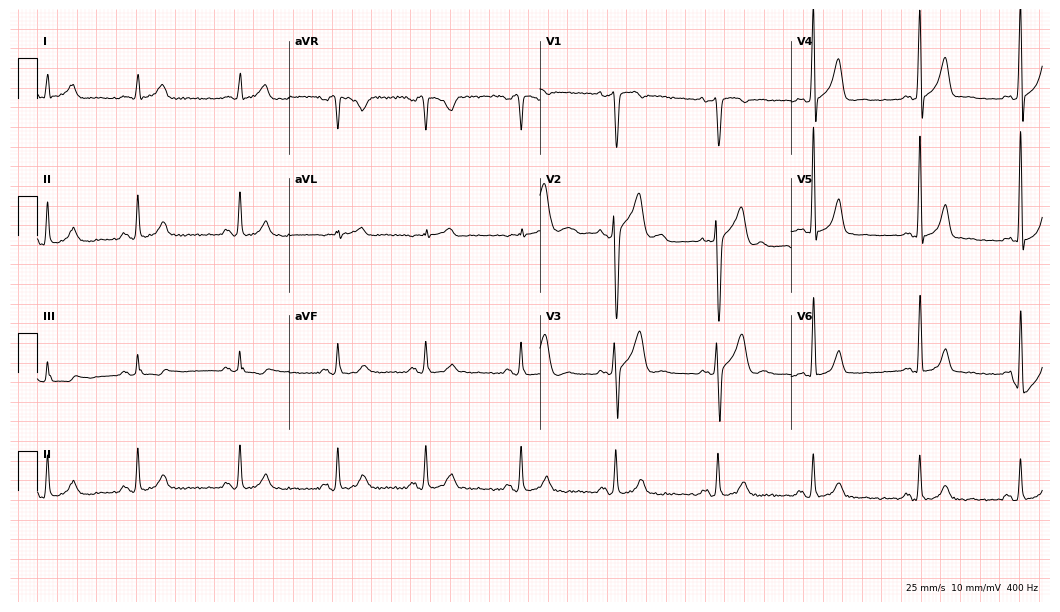
Resting 12-lead electrocardiogram (10.2-second recording at 400 Hz). Patient: a male, 41 years old. Read as a normal ECG.